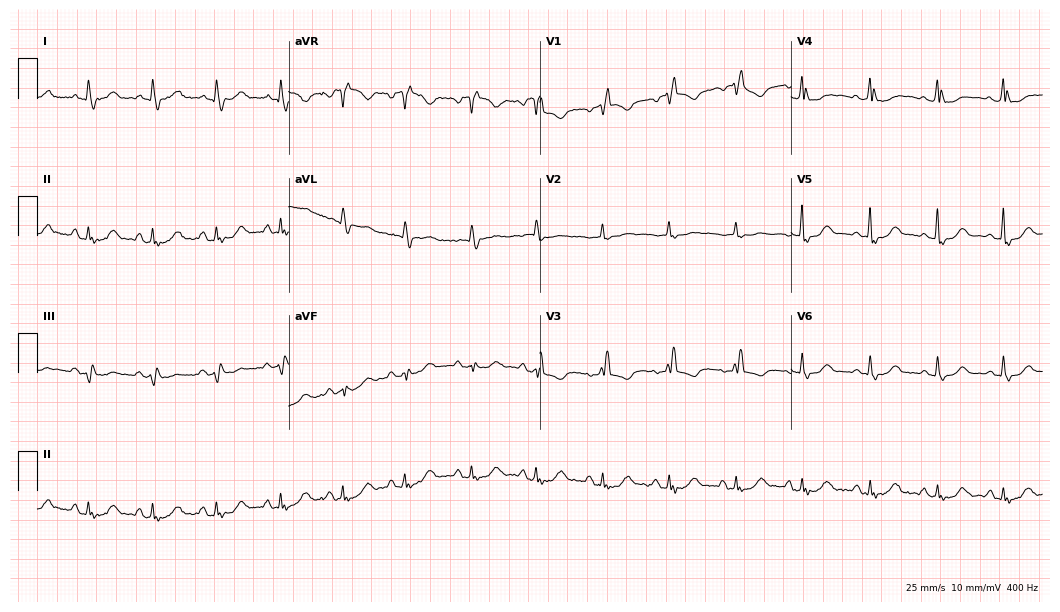
ECG (10.2-second recording at 400 Hz) — a woman, 62 years old. Screened for six findings — first-degree AV block, right bundle branch block, left bundle branch block, sinus bradycardia, atrial fibrillation, sinus tachycardia — none is recorded. Only these six findings were labelled.